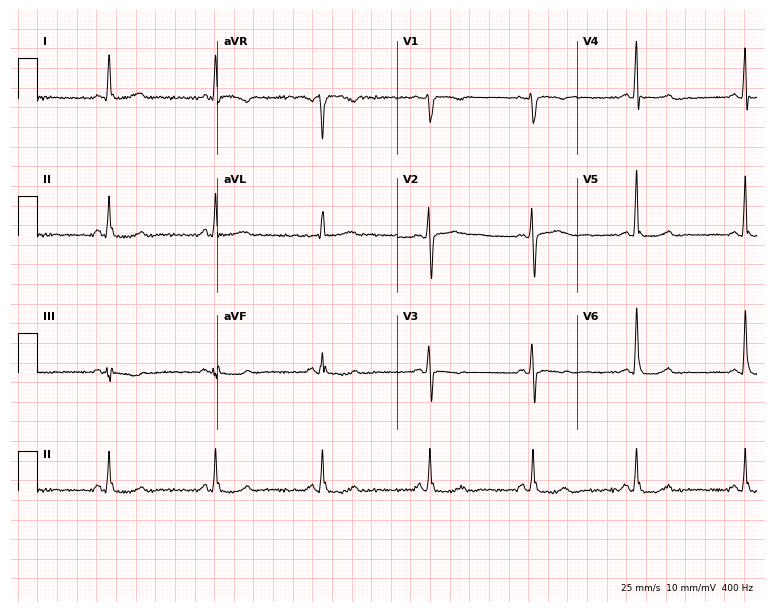
Electrocardiogram, a female, 49 years old. Of the six screened findings (first-degree AV block, right bundle branch block, left bundle branch block, sinus bradycardia, atrial fibrillation, sinus tachycardia), none is recorded. Other findings, if any, are not listed.